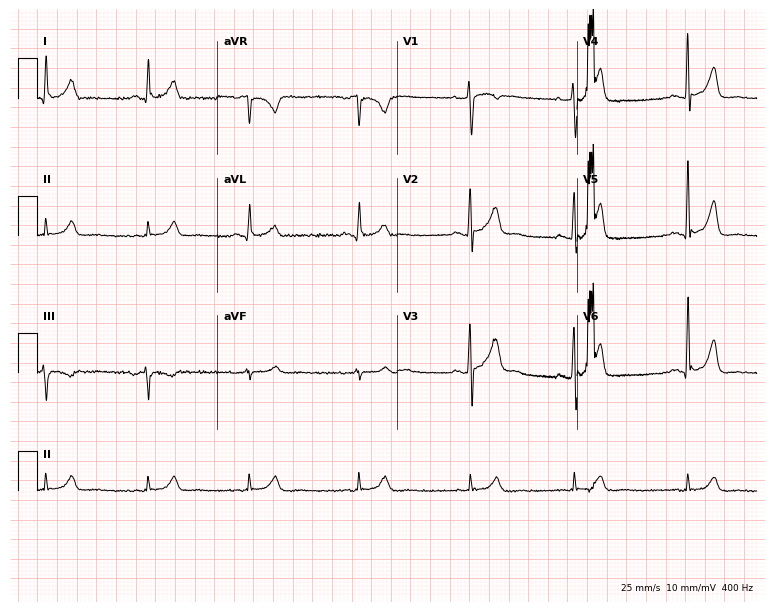
Standard 12-lead ECG recorded from a 41-year-old male patient (7.3-second recording at 400 Hz). Read as a normal ECG.